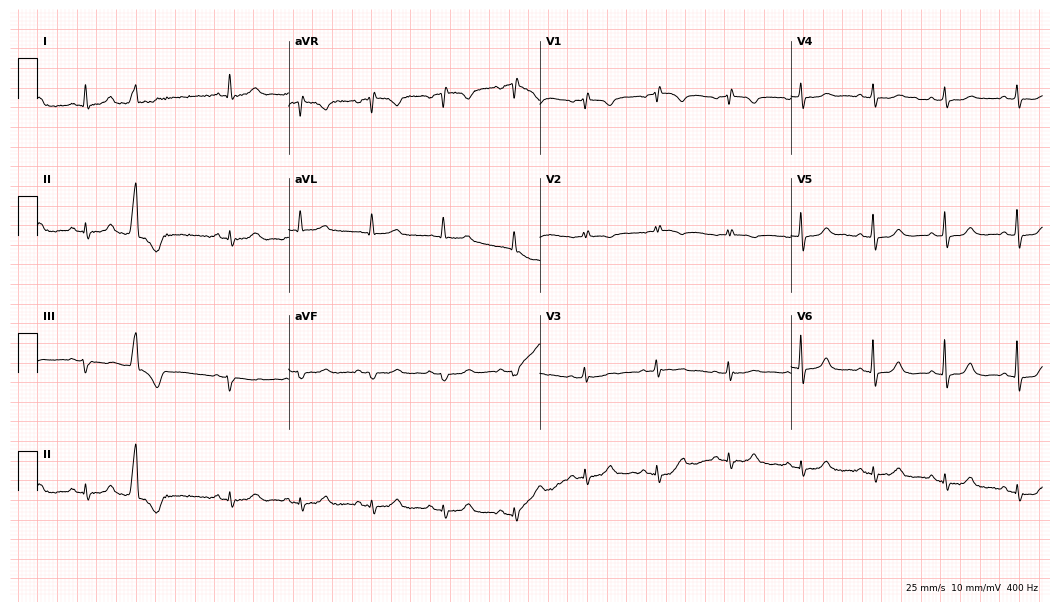
12-lead ECG from a woman, 83 years old. Screened for six findings — first-degree AV block, right bundle branch block, left bundle branch block, sinus bradycardia, atrial fibrillation, sinus tachycardia — none is recorded.